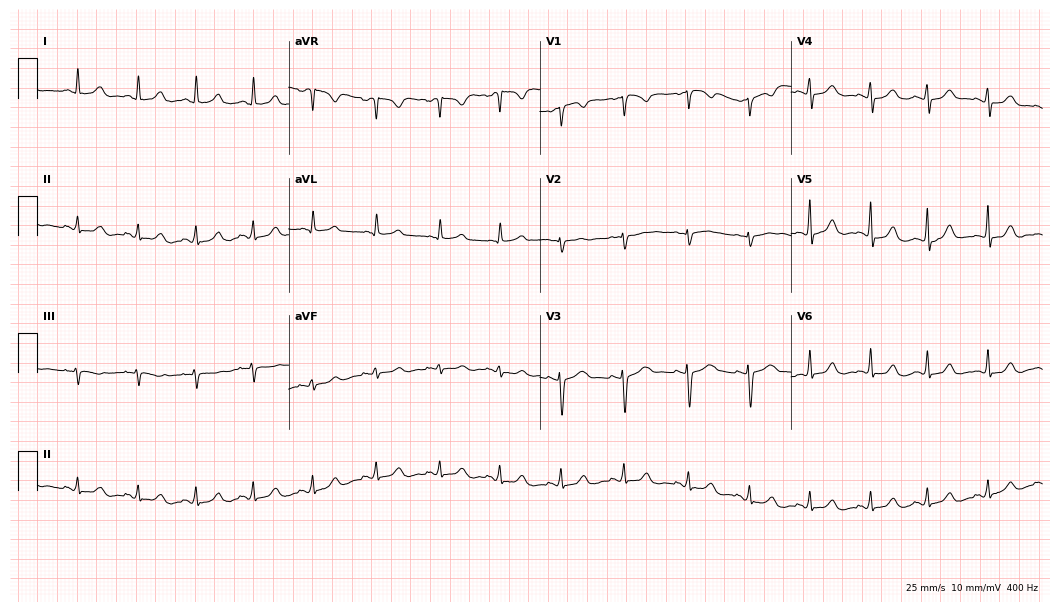
Resting 12-lead electrocardiogram. Patient: a 28-year-old female. Read as a normal ECG.